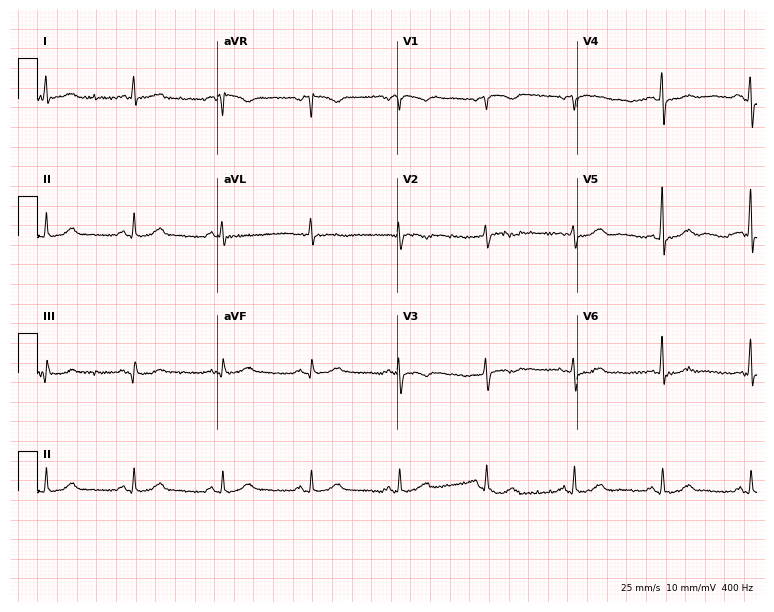
Standard 12-lead ECG recorded from a 69-year-old female patient. None of these six findings is recorded: first-degree AV block, right bundle branch block, left bundle branch block, sinus bradycardia, atrial fibrillation, sinus tachycardia.